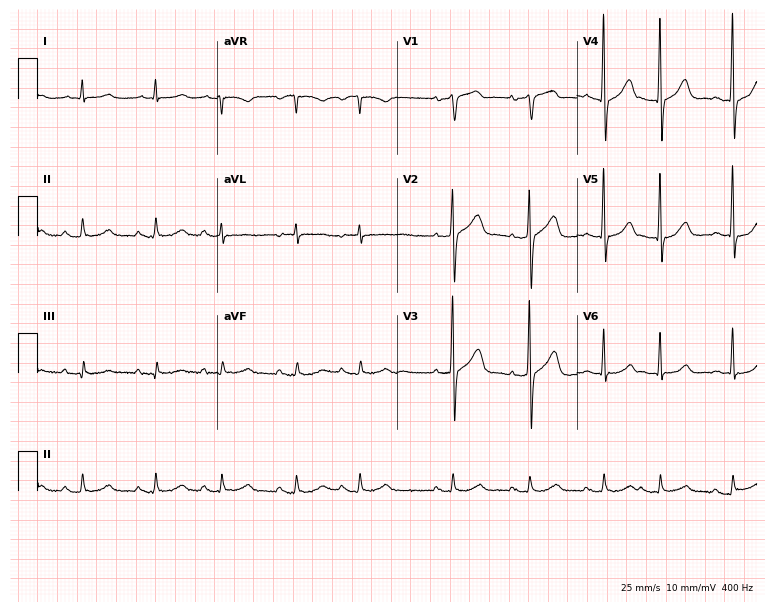
Electrocardiogram (7.3-second recording at 400 Hz), an 84-year-old male patient. Overall reading on record: normal ECG.